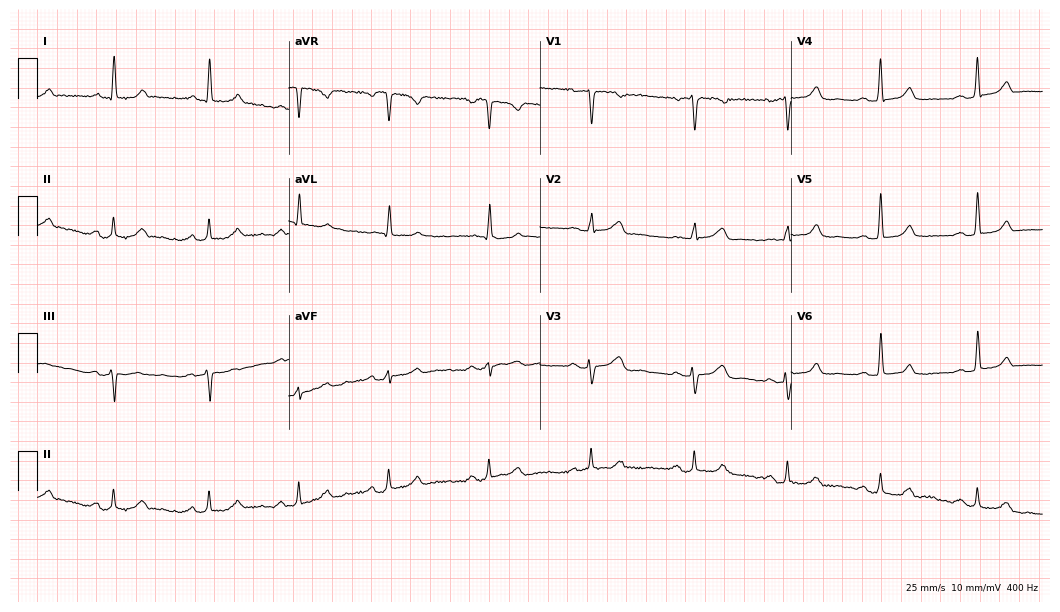
Resting 12-lead electrocardiogram (10.2-second recording at 400 Hz). Patient: a female, 60 years old. None of these six findings is recorded: first-degree AV block, right bundle branch block, left bundle branch block, sinus bradycardia, atrial fibrillation, sinus tachycardia. Other findings, if any, are not listed.